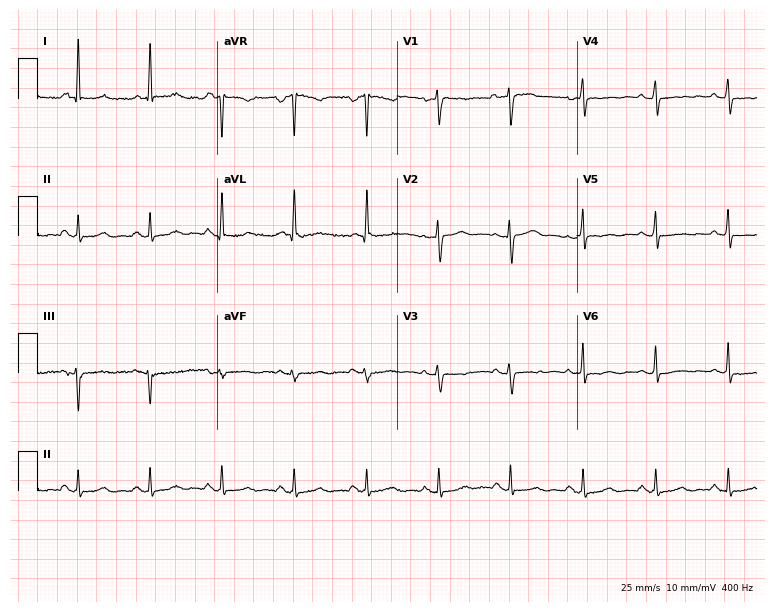
ECG — a 74-year-old female. Screened for six findings — first-degree AV block, right bundle branch block, left bundle branch block, sinus bradycardia, atrial fibrillation, sinus tachycardia — none is recorded. Findings outside these six are not listed.